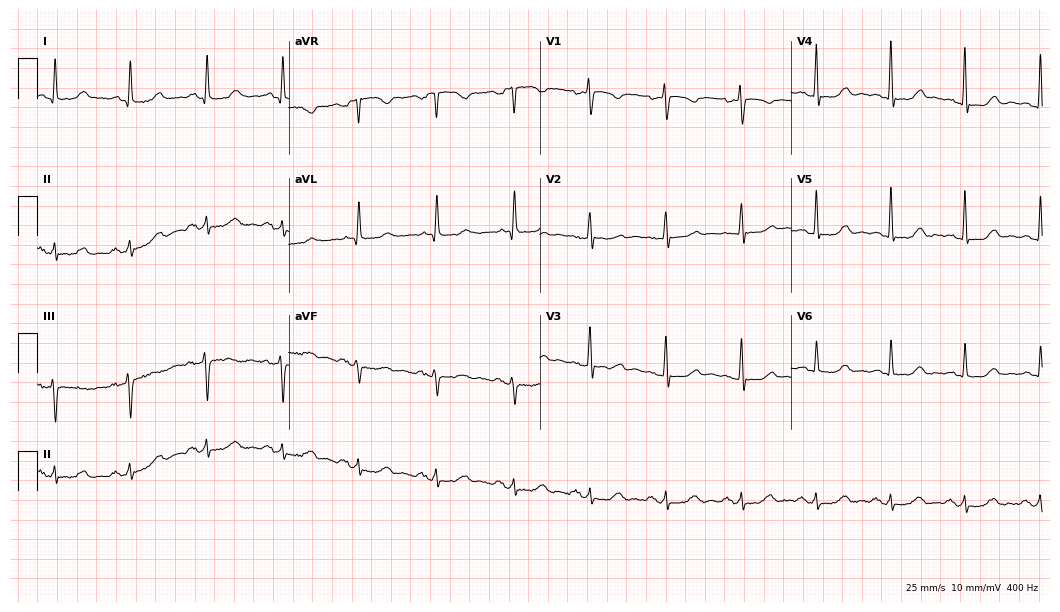
Standard 12-lead ECG recorded from a female, 75 years old. Read as a normal ECG.